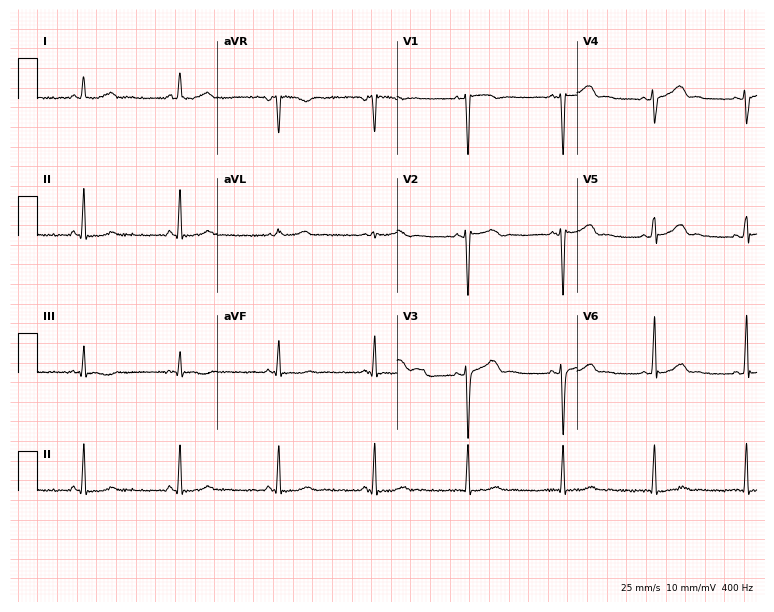
12-lead ECG (7.3-second recording at 400 Hz) from a woman, 47 years old. Labelled as a normal ECG.